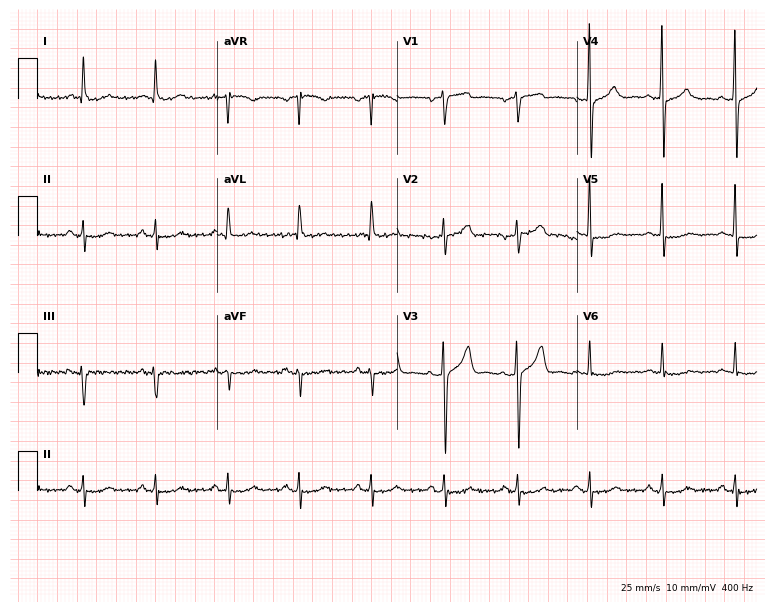
Resting 12-lead electrocardiogram (7.3-second recording at 400 Hz). Patient: a 76-year-old man. None of these six findings is recorded: first-degree AV block, right bundle branch block, left bundle branch block, sinus bradycardia, atrial fibrillation, sinus tachycardia. Other findings, if any, are not listed.